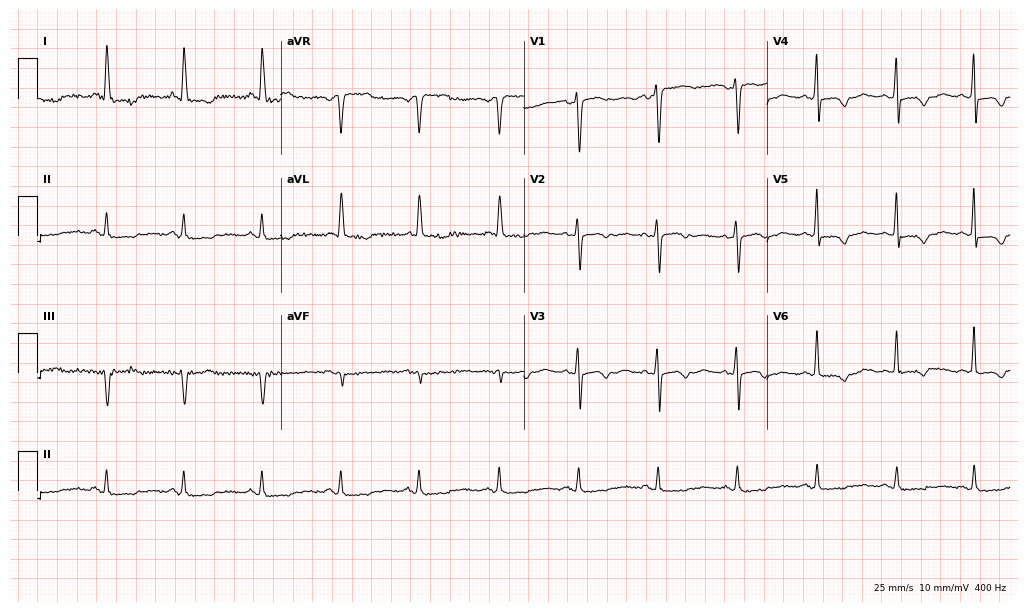
Standard 12-lead ECG recorded from a 64-year-old woman. None of these six findings is recorded: first-degree AV block, right bundle branch block (RBBB), left bundle branch block (LBBB), sinus bradycardia, atrial fibrillation (AF), sinus tachycardia. Only these six findings were labelled.